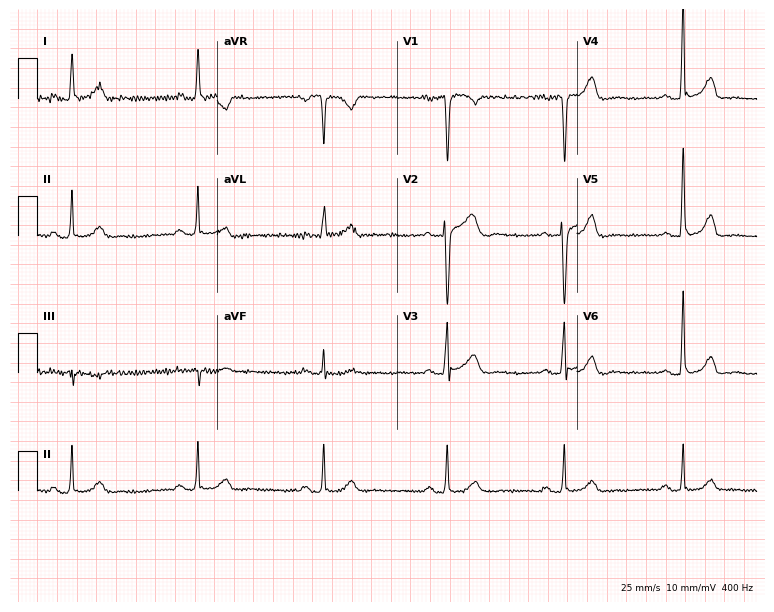
12-lead ECG from a man, 49 years old. Labelled as a normal ECG.